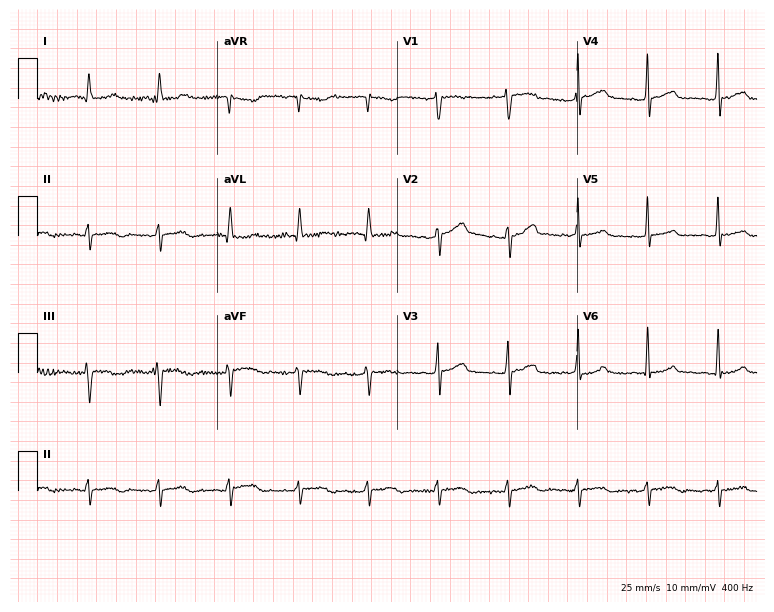
Electrocardiogram (7.3-second recording at 400 Hz), a female patient, 44 years old. Of the six screened findings (first-degree AV block, right bundle branch block, left bundle branch block, sinus bradycardia, atrial fibrillation, sinus tachycardia), none is recorded.